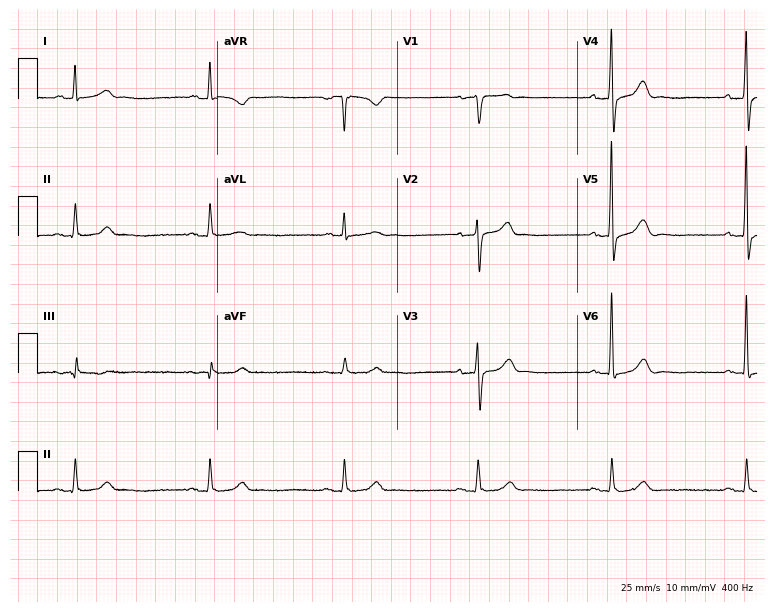
Resting 12-lead electrocardiogram. Patient: a 71-year-old male. The tracing shows sinus bradycardia (a sinus rate of 50 beats per minute or less).